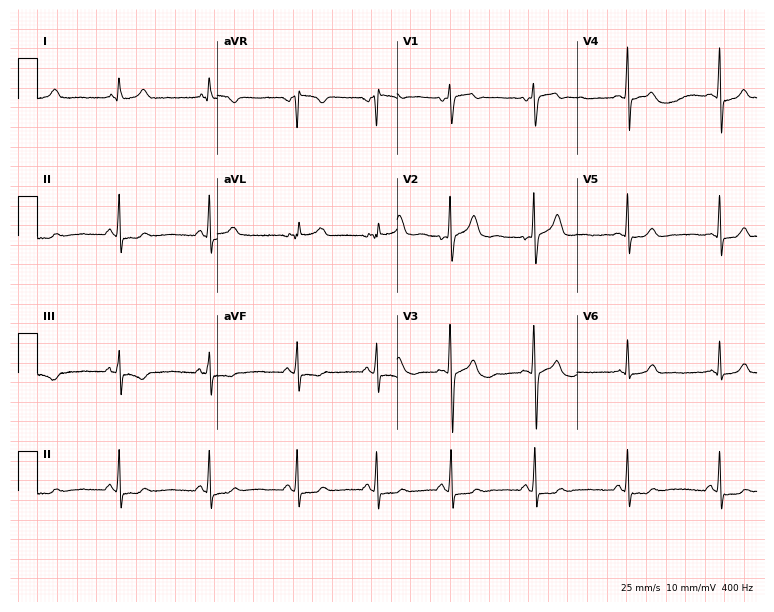
ECG (7.3-second recording at 400 Hz) — a 24-year-old female patient. Screened for six findings — first-degree AV block, right bundle branch block (RBBB), left bundle branch block (LBBB), sinus bradycardia, atrial fibrillation (AF), sinus tachycardia — none is recorded.